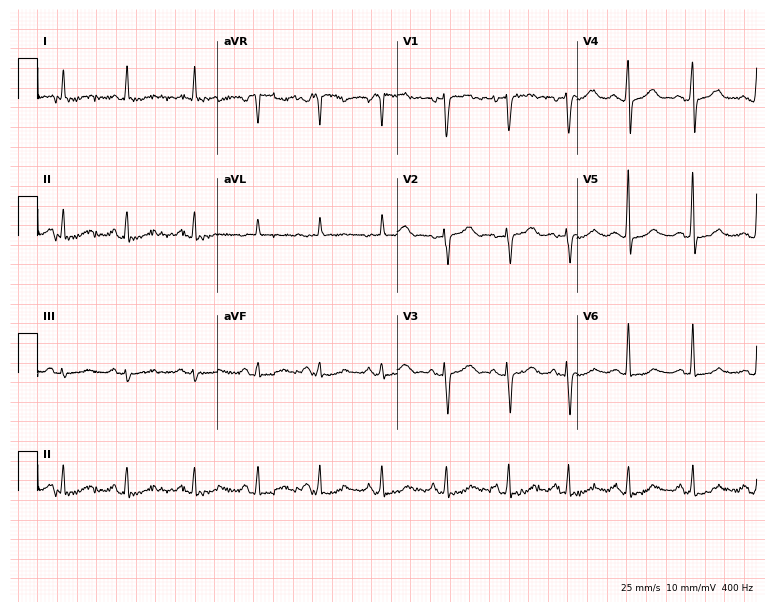
12-lead ECG from a 58-year-old female patient (7.3-second recording at 400 Hz). Recorded interpretation: within normal limits.